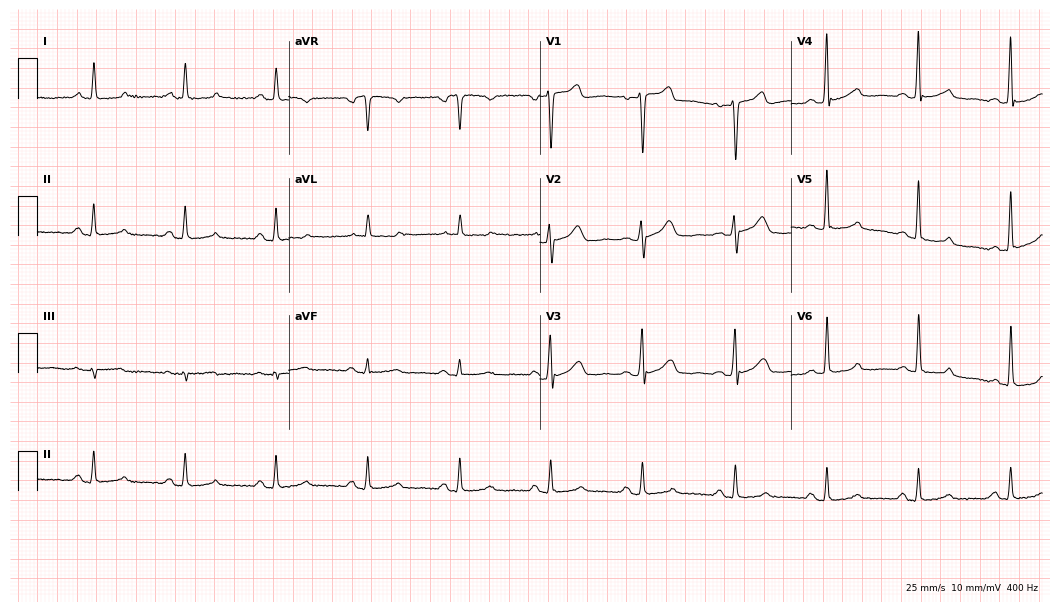
Standard 12-lead ECG recorded from a male, 56 years old (10.2-second recording at 400 Hz). None of these six findings is recorded: first-degree AV block, right bundle branch block, left bundle branch block, sinus bradycardia, atrial fibrillation, sinus tachycardia.